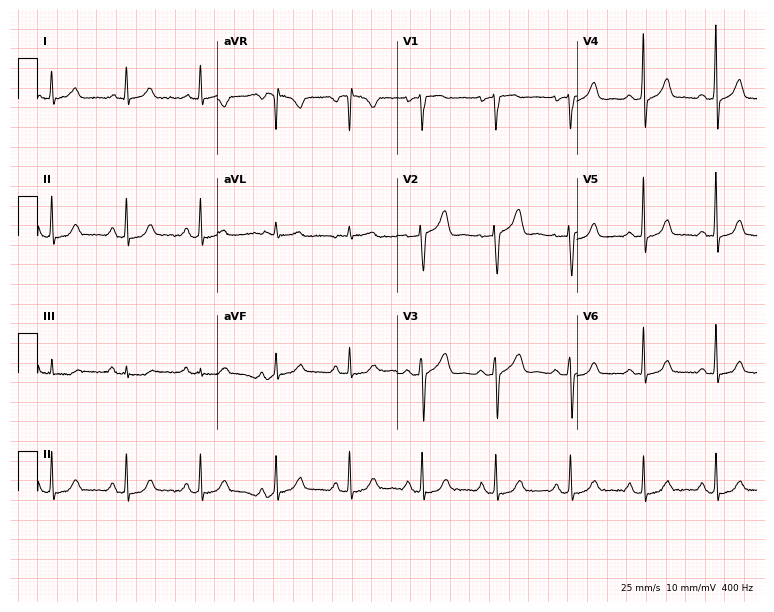
12-lead ECG (7.3-second recording at 400 Hz) from a female, 59 years old. Labelled as a normal ECG.